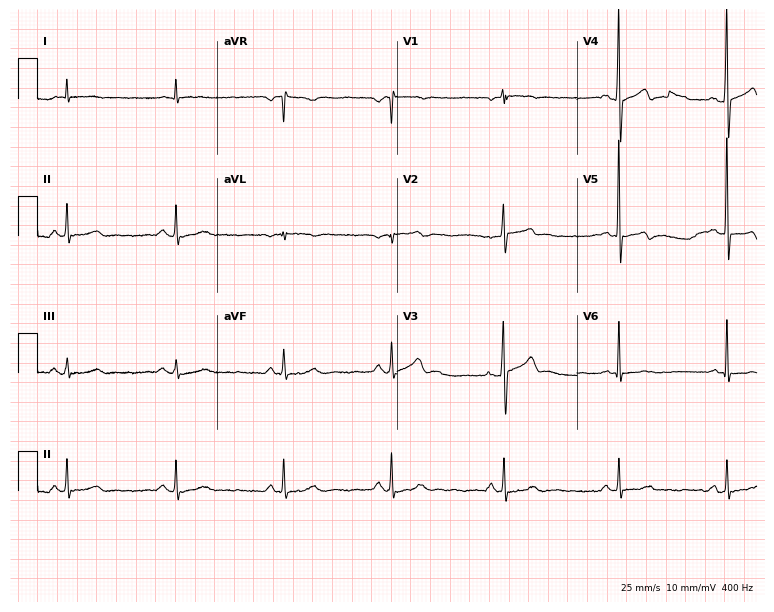
Electrocardiogram (7.3-second recording at 400 Hz), a 78-year-old male patient. Of the six screened findings (first-degree AV block, right bundle branch block (RBBB), left bundle branch block (LBBB), sinus bradycardia, atrial fibrillation (AF), sinus tachycardia), none is recorded.